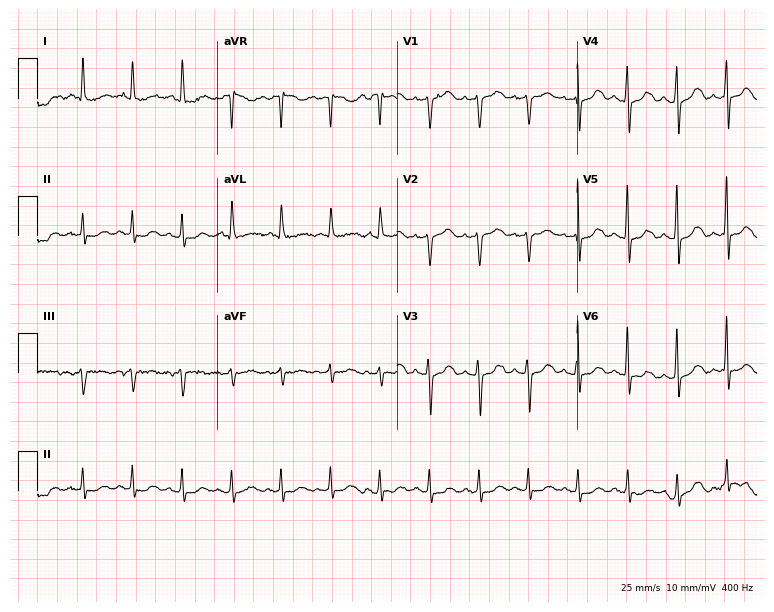
Resting 12-lead electrocardiogram. Patient: a 77-year-old female. The tracing shows sinus tachycardia (a sinus rate of 100 beats per minute or more).